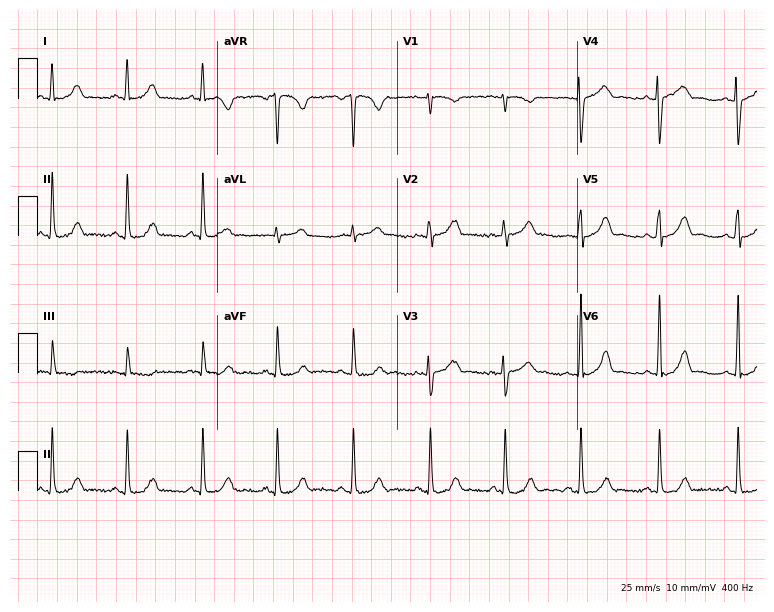
Resting 12-lead electrocardiogram. Patient: a 42-year-old female. None of these six findings is recorded: first-degree AV block, right bundle branch block (RBBB), left bundle branch block (LBBB), sinus bradycardia, atrial fibrillation (AF), sinus tachycardia.